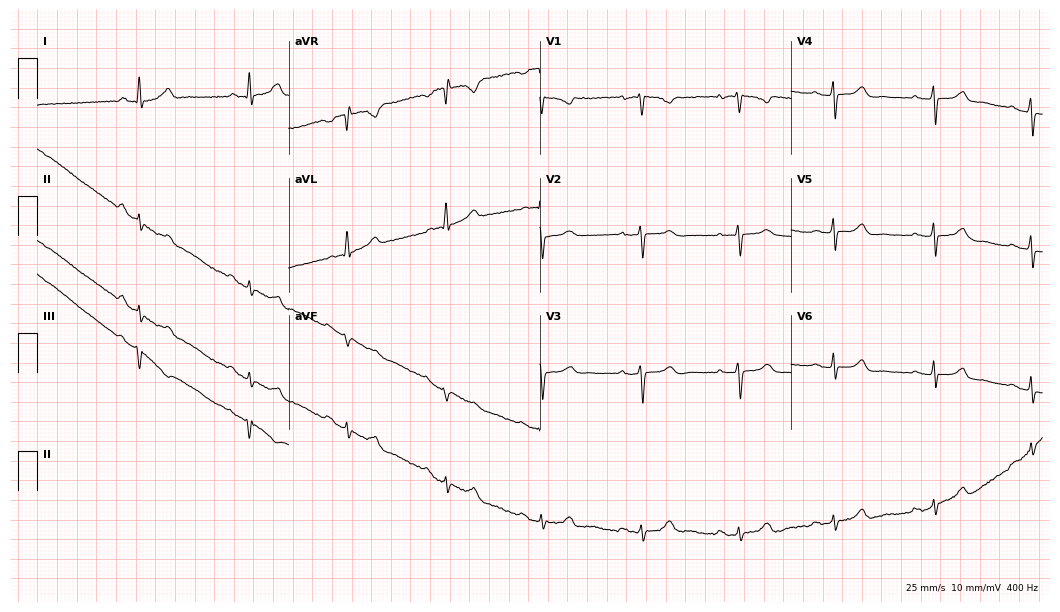
12-lead ECG (10.2-second recording at 400 Hz) from a 55-year-old female patient. Screened for six findings — first-degree AV block, right bundle branch block, left bundle branch block, sinus bradycardia, atrial fibrillation, sinus tachycardia — none is recorded. Findings outside these six are not listed.